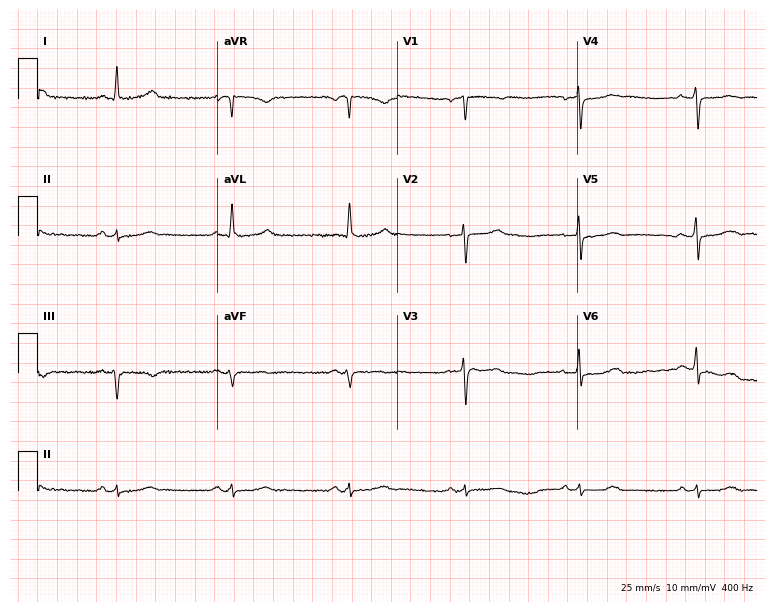
ECG (7.3-second recording at 400 Hz) — a female patient, 56 years old. Screened for six findings — first-degree AV block, right bundle branch block, left bundle branch block, sinus bradycardia, atrial fibrillation, sinus tachycardia — none is recorded. Other findings, if any, are not listed.